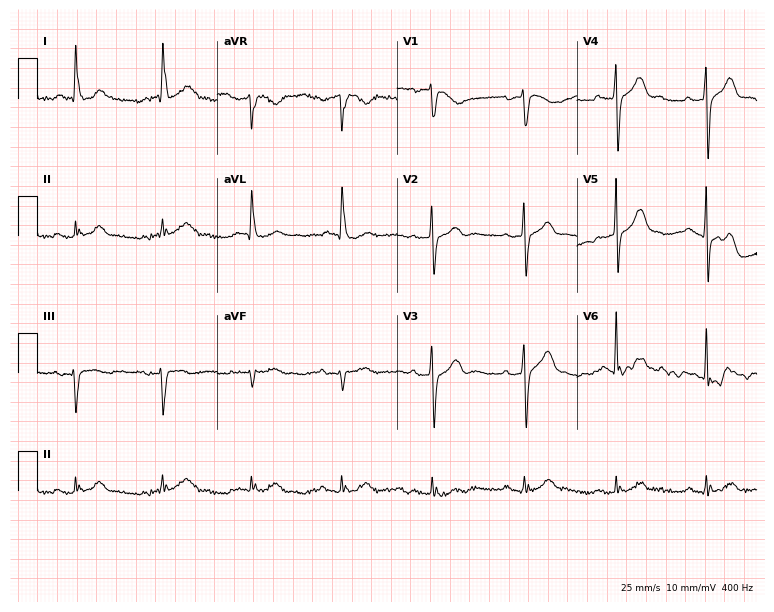
Electrocardiogram, an 85-year-old man. Of the six screened findings (first-degree AV block, right bundle branch block, left bundle branch block, sinus bradycardia, atrial fibrillation, sinus tachycardia), none is recorded. Findings outside these six are not listed.